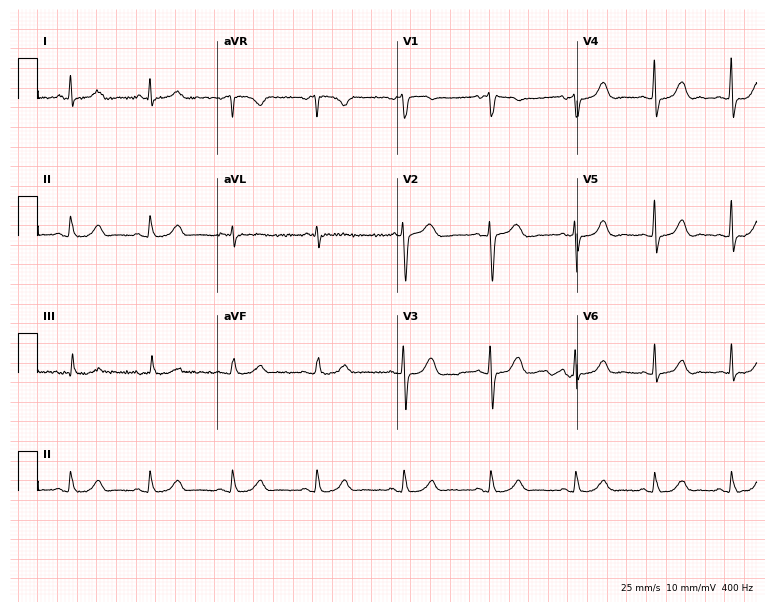
Standard 12-lead ECG recorded from a woman, 40 years old (7.3-second recording at 400 Hz). Read as a normal ECG.